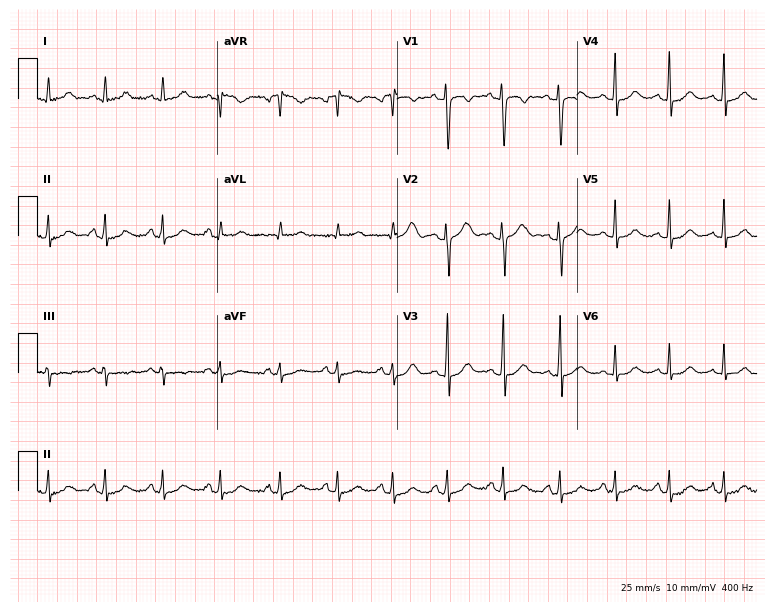
Resting 12-lead electrocardiogram. Patient: a 26-year-old woman. None of these six findings is recorded: first-degree AV block, right bundle branch block, left bundle branch block, sinus bradycardia, atrial fibrillation, sinus tachycardia. Findings outside these six are not listed.